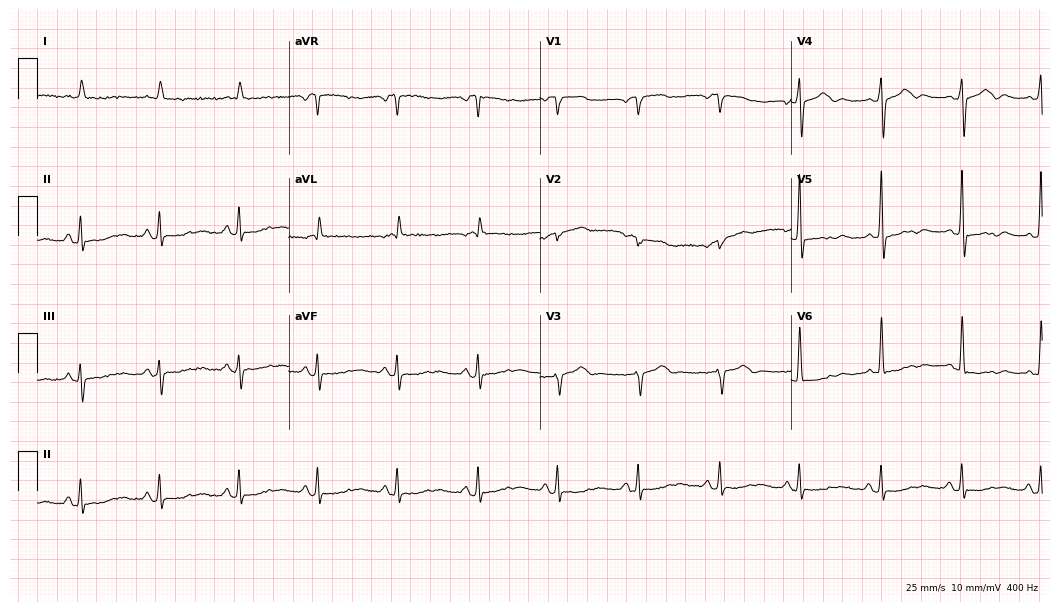
12-lead ECG from a male, 81 years old (10.2-second recording at 400 Hz). No first-degree AV block, right bundle branch block, left bundle branch block, sinus bradycardia, atrial fibrillation or sinus tachycardia recorded for this tracing.